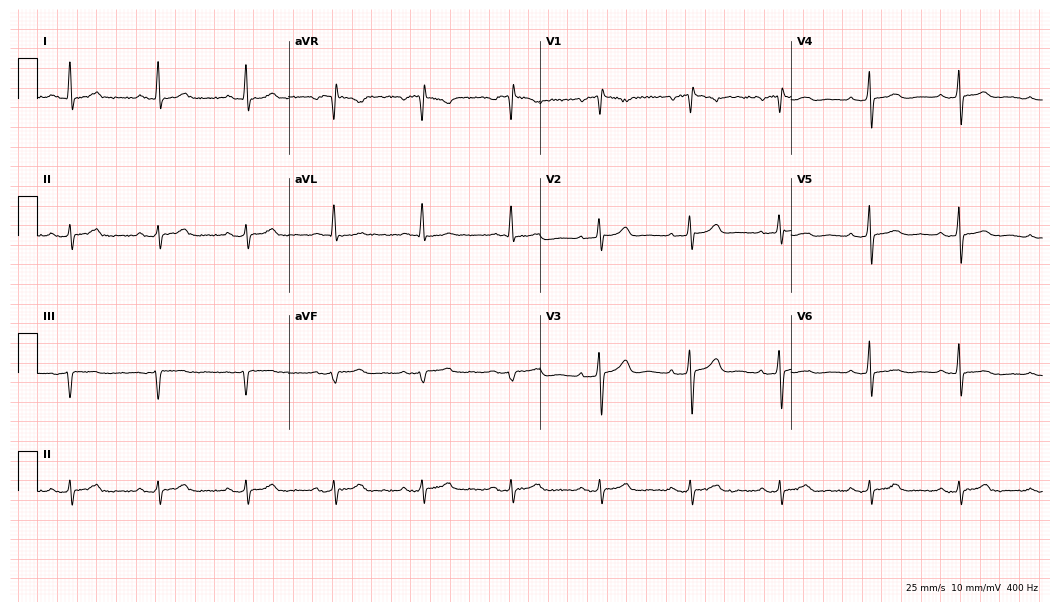
12-lead ECG from a 60-year-old male. Recorded interpretation: within normal limits.